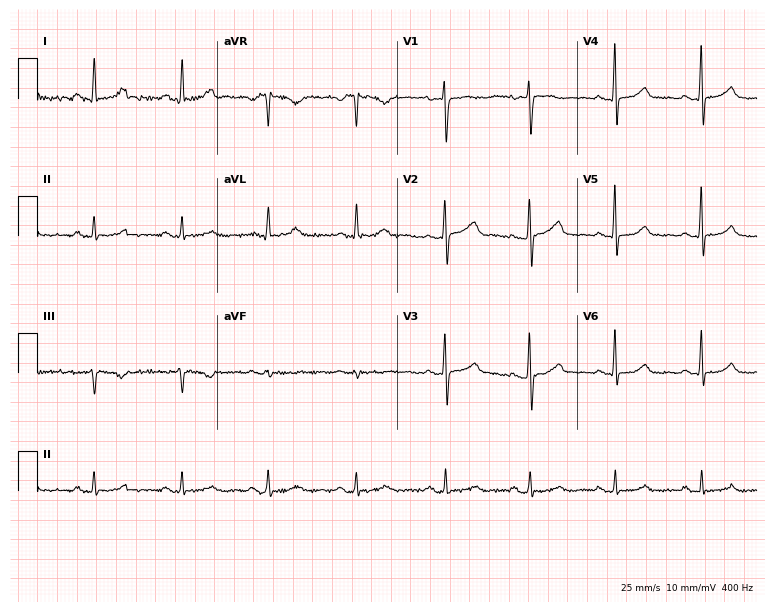
ECG (7.3-second recording at 400 Hz) — a female patient, 46 years old. Labelled as a normal ECG.